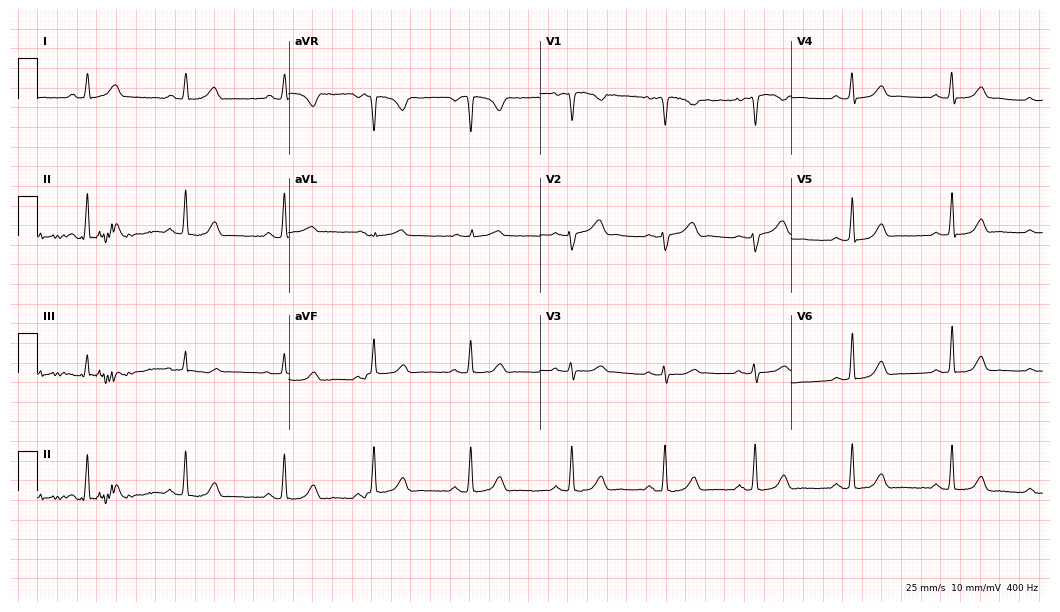
Resting 12-lead electrocardiogram. Patient: a 33-year-old woman. Read as a normal ECG.